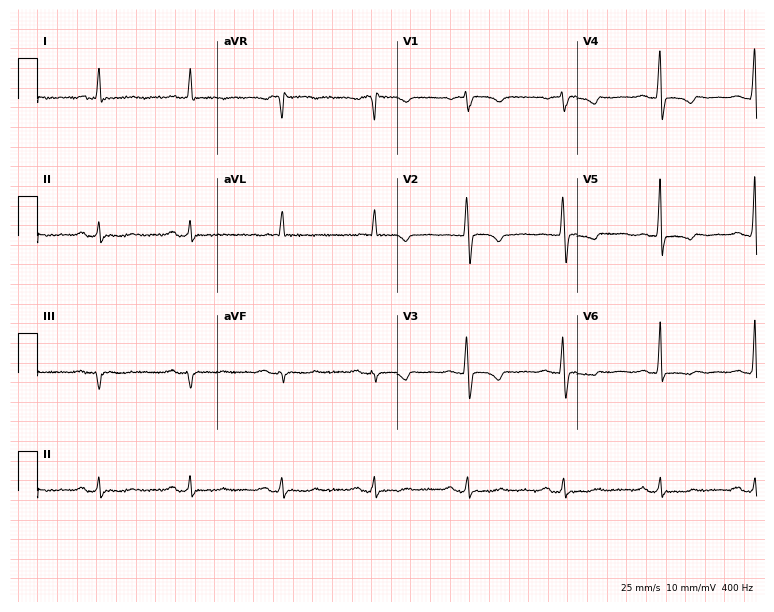
Standard 12-lead ECG recorded from a female, 53 years old (7.3-second recording at 400 Hz). None of these six findings is recorded: first-degree AV block, right bundle branch block, left bundle branch block, sinus bradycardia, atrial fibrillation, sinus tachycardia. Other findings, if any, are not listed.